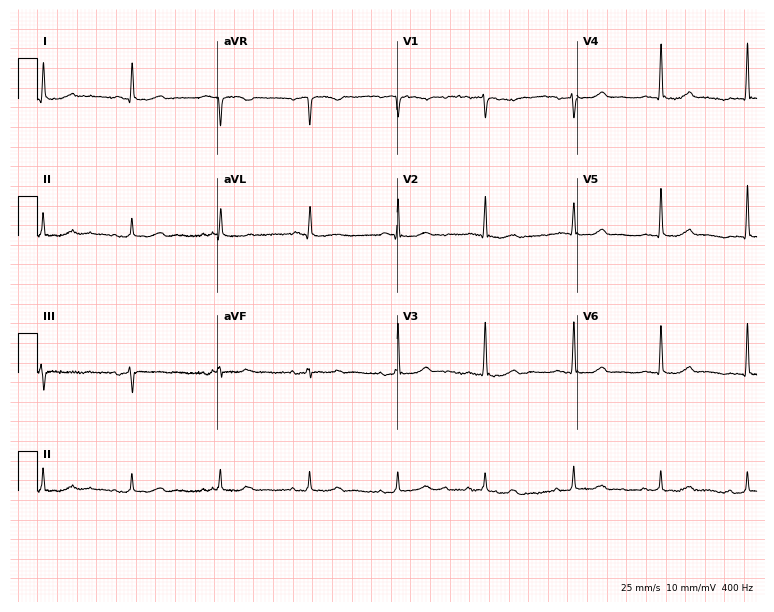
Standard 12-lead ECG recorded from a woman, 76 years old (7.3-second recording at 400 Hz). None of these six findings is recorded: first-degree AV block, right bundle branch block, left bundle branch block, sinus bradycardia, atrial fibrillation, sinus tachycardia. Findings outside these six are not listed.